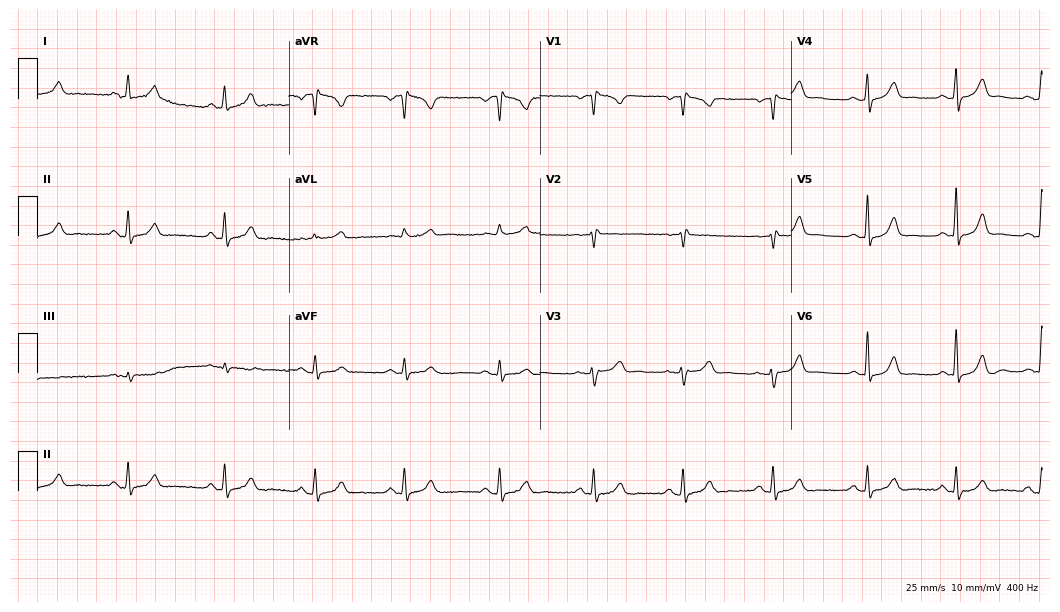
Standard 12-lead ECG recorded from a 38-year-old female patient. Read as a normal ECG.